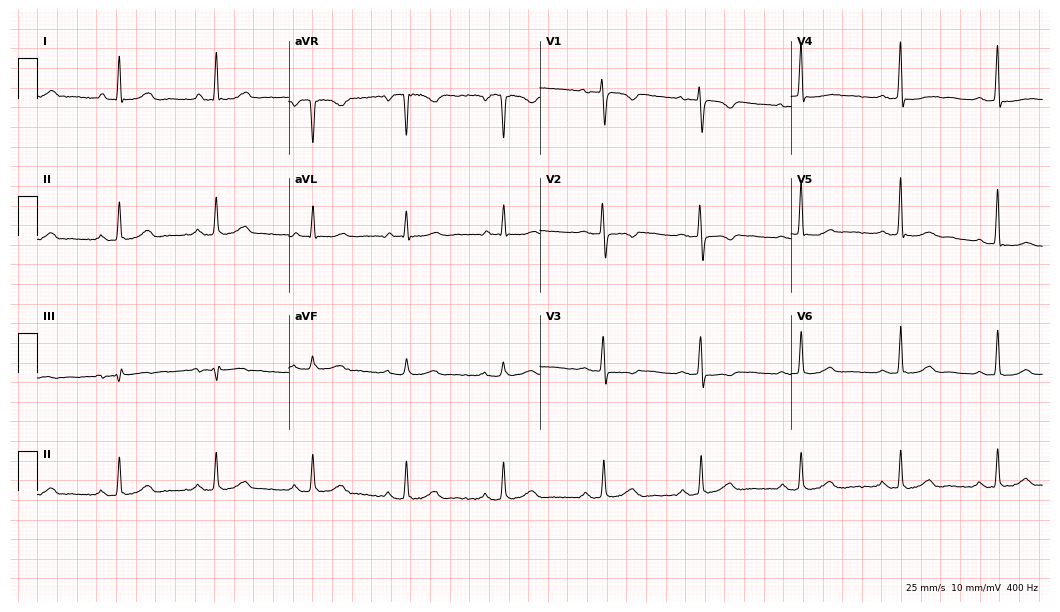
Electrocardiogram (10.2-second recording at 400 Hz), a 53-year-old female. Of the six screened findings (first-degree AV block, right bundle branch block (RBBB), left bundle branch block (LBBB), sinus bradycardia, atrial fibrillation (AF), sinus tachycardia), none is recorded. Only these six findings were labelled.